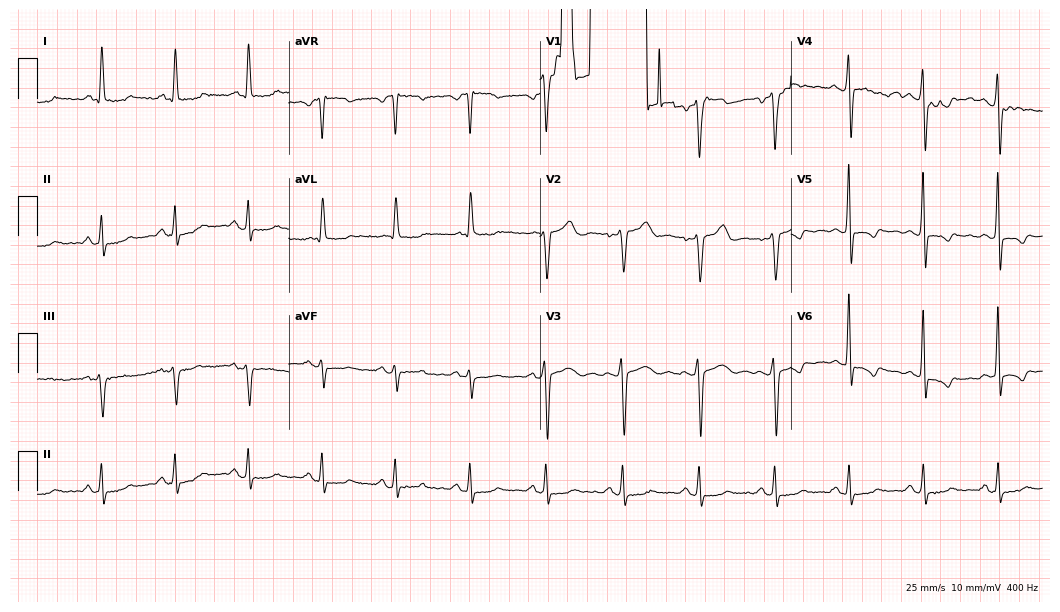
Electrocardiogram (10.2-second recording at 400 Hz), a male patient, 46 years old. Of the six screened findings (first-degree AV block, right bundle branch block, left bundle branch block, sinus bradycardia, atrial fibrillation, sinus tachycardia), none is recorded.